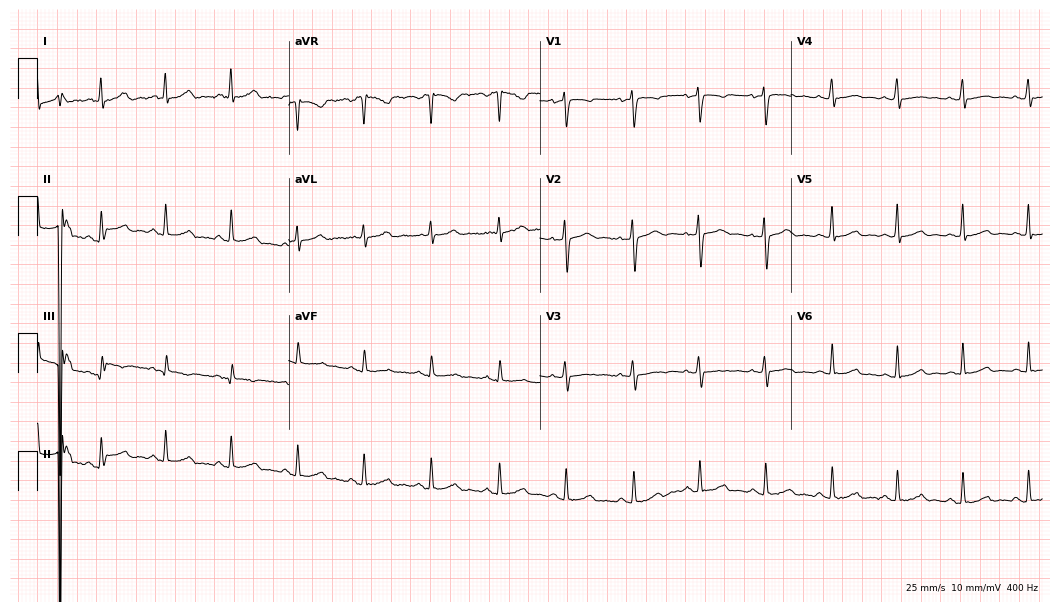
12-lead ECG from a female, 47 years old. Recorded interpretation: within normal limits.